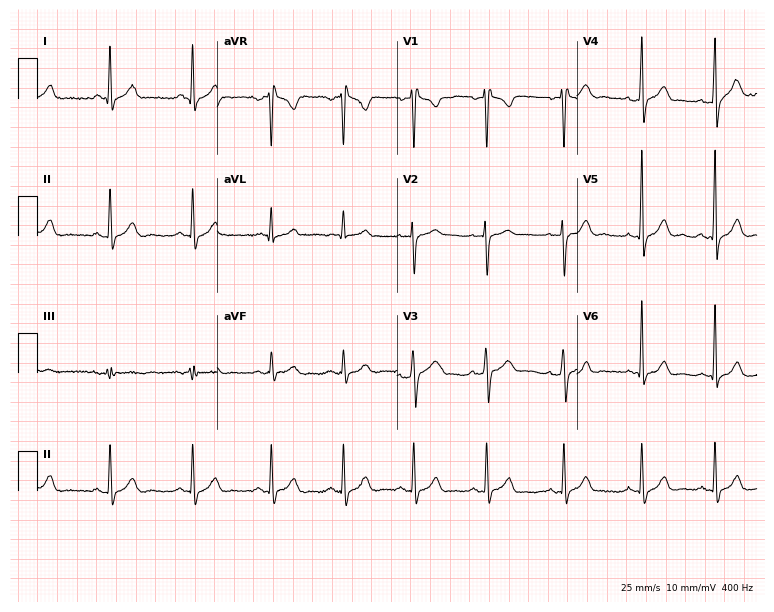
Resting 12-lead electrocardiogram (7.3-second recording at 400 Hz). Patient: a male, 35 years old. Read as a normal ECG.